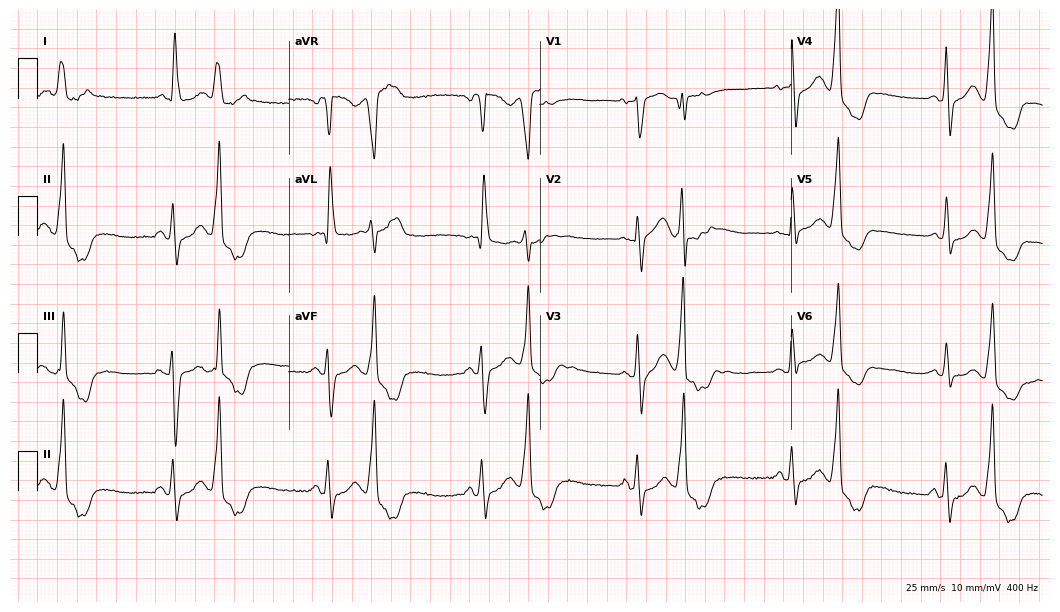
ECG (10.2-second recording at 400 Hz) — a 67-year-old female. Screened for six findings — first-degree AV block, right bundle branch block, left bundle branch block, sinus bradycardia, atrial fibrillation, sinus tachycardia — none is recorded. Other findings, if any, are not listed.